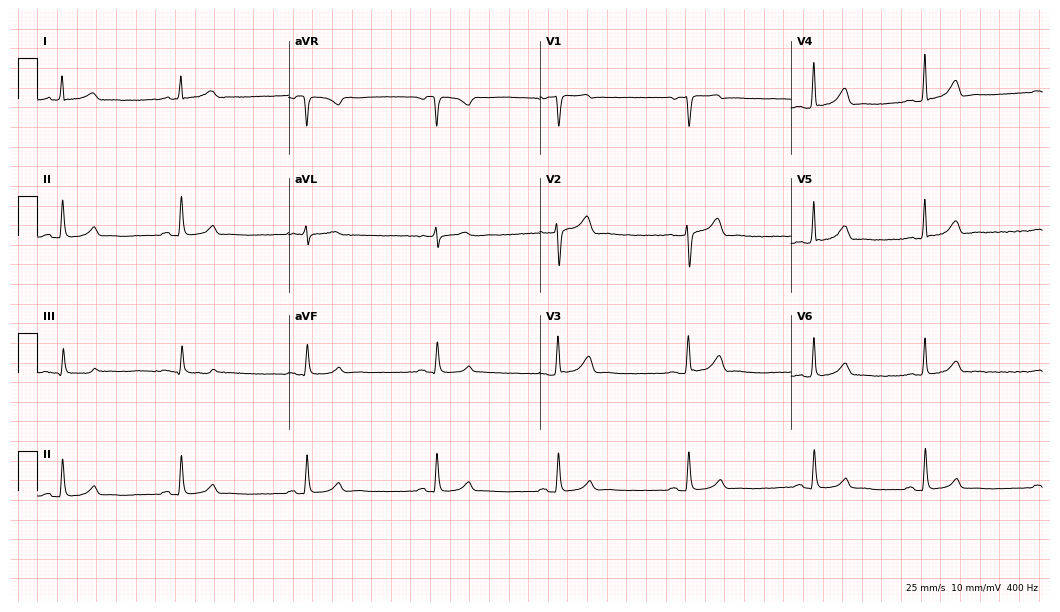
Resting 12-lead electrocardiogram. Patient: a man, 49 years old. None of these six findings is recorded: first-degree AV block, right bundle branch block, left bundle branch block, sinus bradycardia, atrial fibrillation, sinus tachycardia.